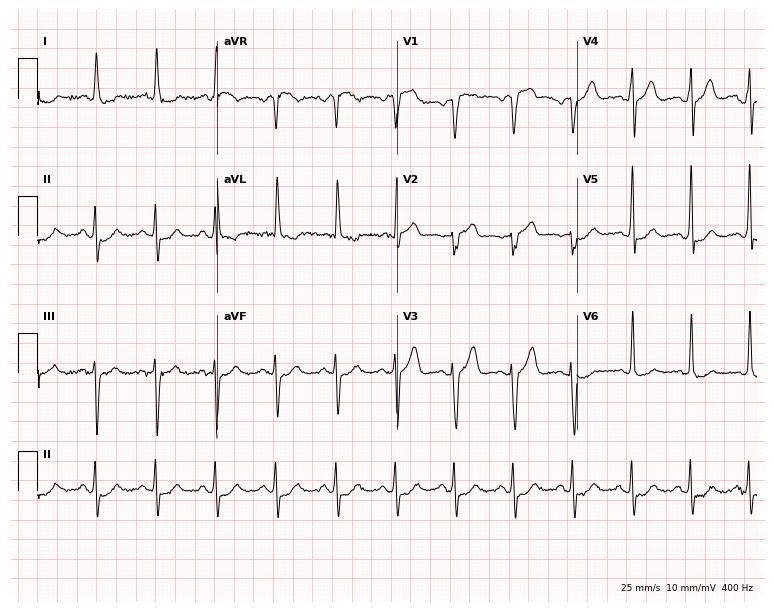
12-lead ECG from a male, 71 years old. Recorded interpretation: within normal limits.